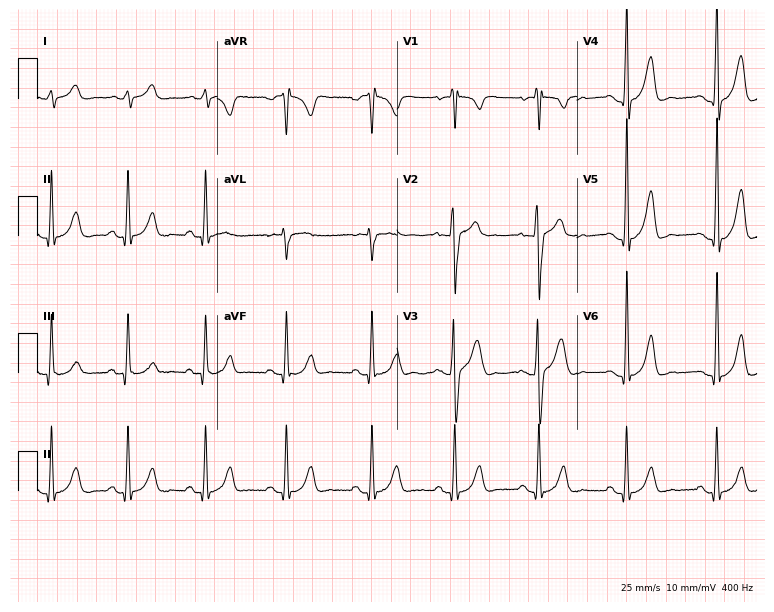
Electrocardiogram (7.3-second recording at 400 Hz), a 20-year-old male patient. Overall reading on record: normal ECG.